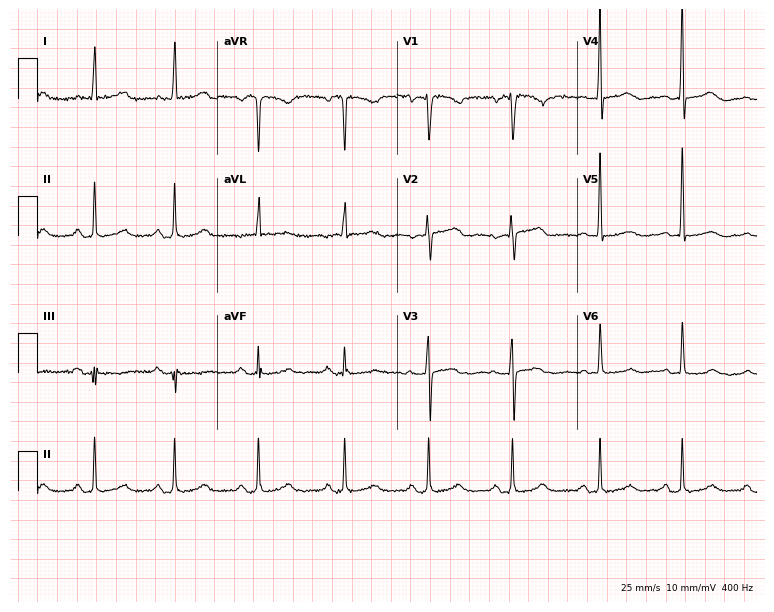
Standard 12-lead ECG recorded from a 64-year-old female. Read as a normal ECG.